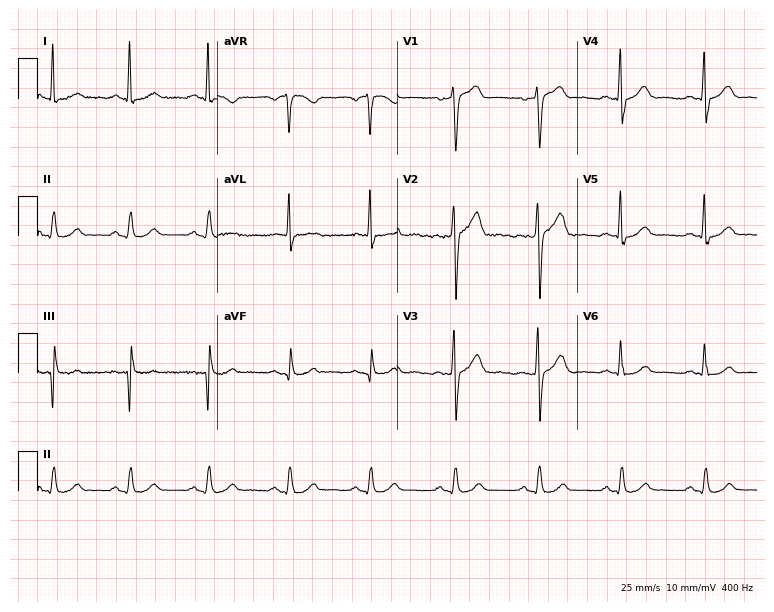
ECG — a 47-year-old male patient. Labelled as a normal ECG.